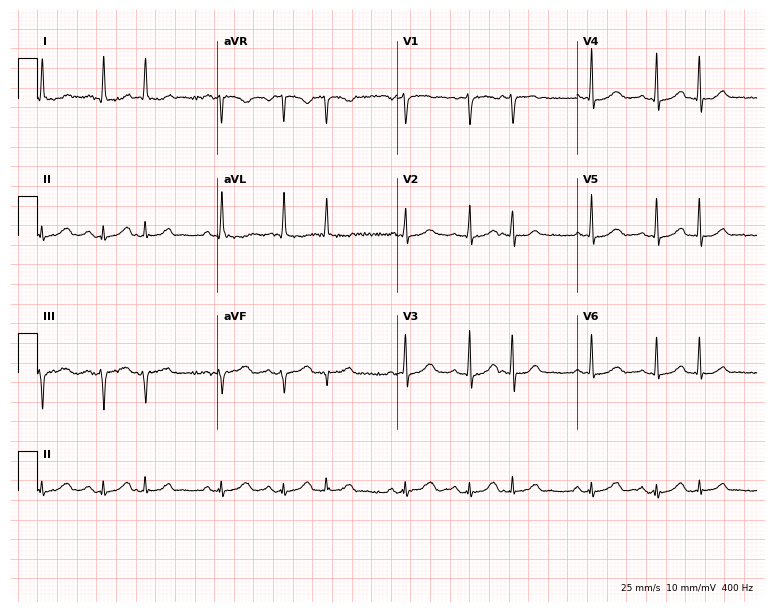
Resting 12-lead electrocardiogram (7.3-second recording at 400 Hz). Patient: a female, 60 years old. Read as a normal ECG.